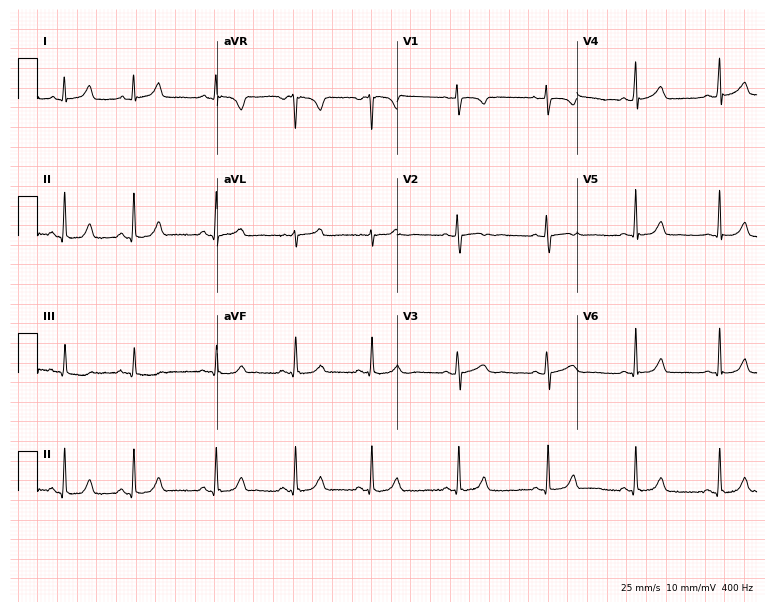
Electrocardiogram (7.3-second recording at 400 Hz), a female, 29 years old. Of the six screened findings (first-degree AV block, right bundle branch block, left bundle branch block, sinus bradycardia, atrial fibrillation, sinus tachycardia), none is recorded. Other findings, if any, are not listed.